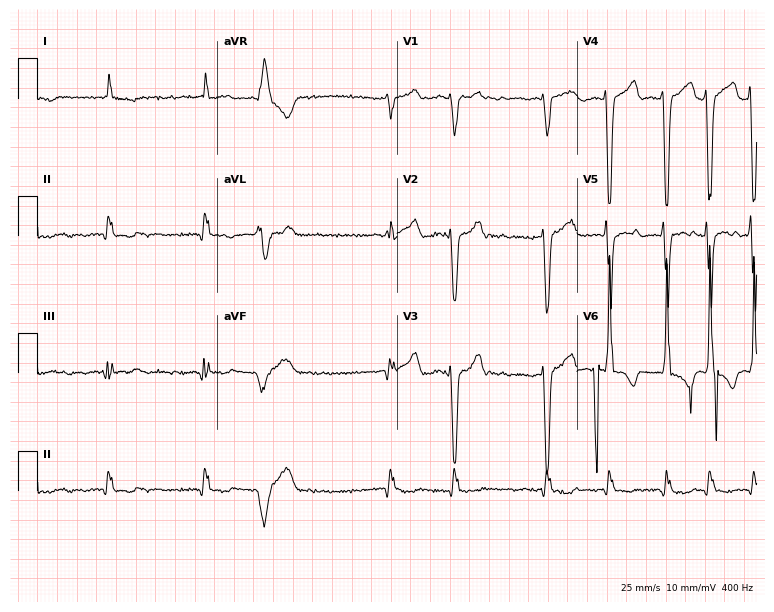
Resting 12-lead electrocardiogram (7.3-second recording at 400 Hz). Patient: a man, 80 years old. The tracing shows atrial fibrillation.